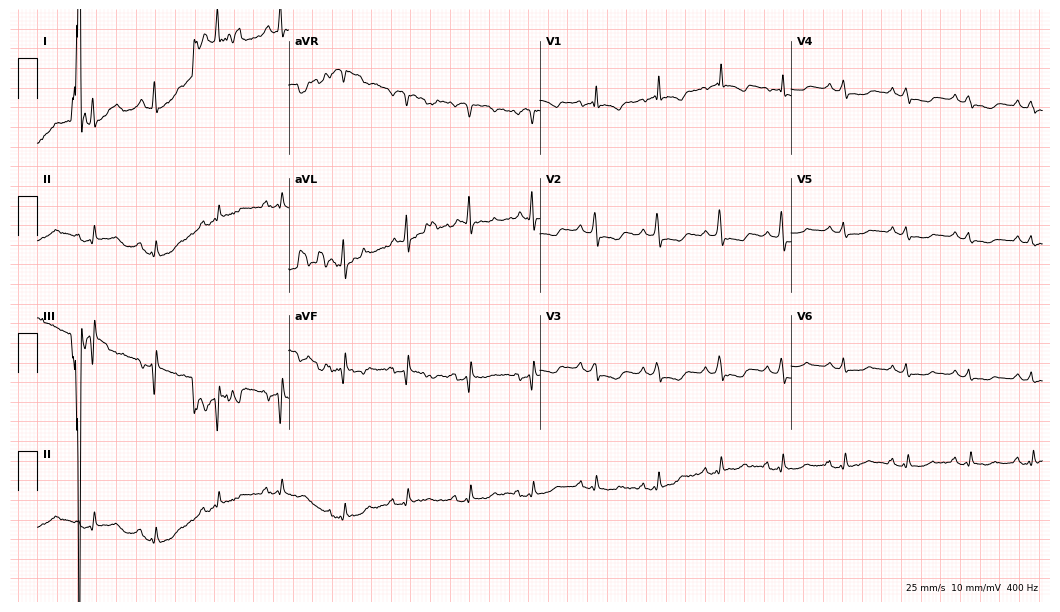
Electrocardiogram, a 63-year-old female. Of the six screened findings (first-degree AV block, right bundle branch block, left bundle branch block, sinus bradycardia, atrial fibrillation, sinus tachycardia), none is recorded.